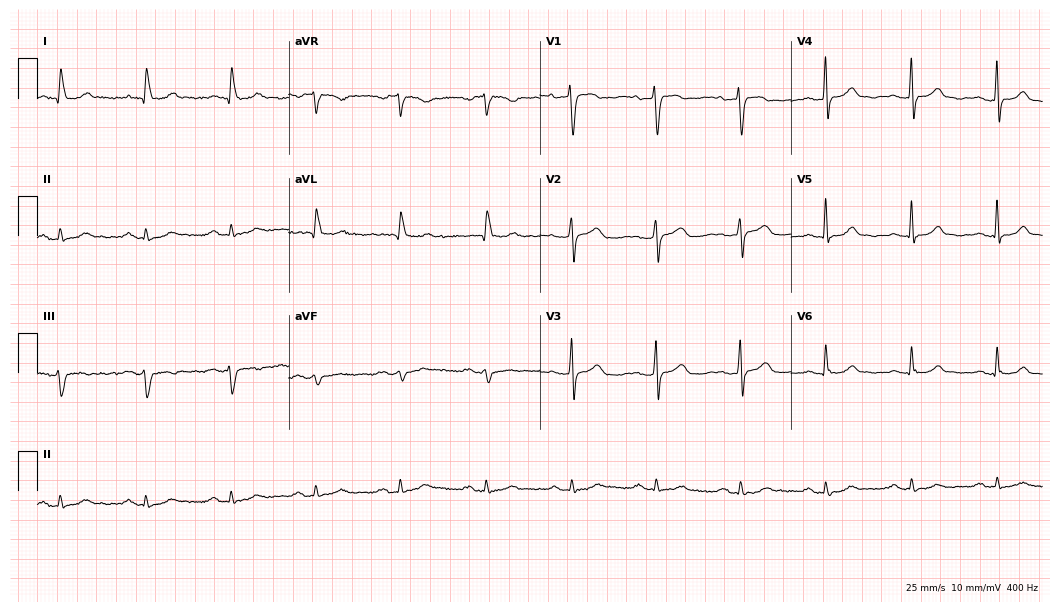
ECG (10.2-second recording at 400 Hz) — a female patient, 71 years old. Labelled as a normal ECG.